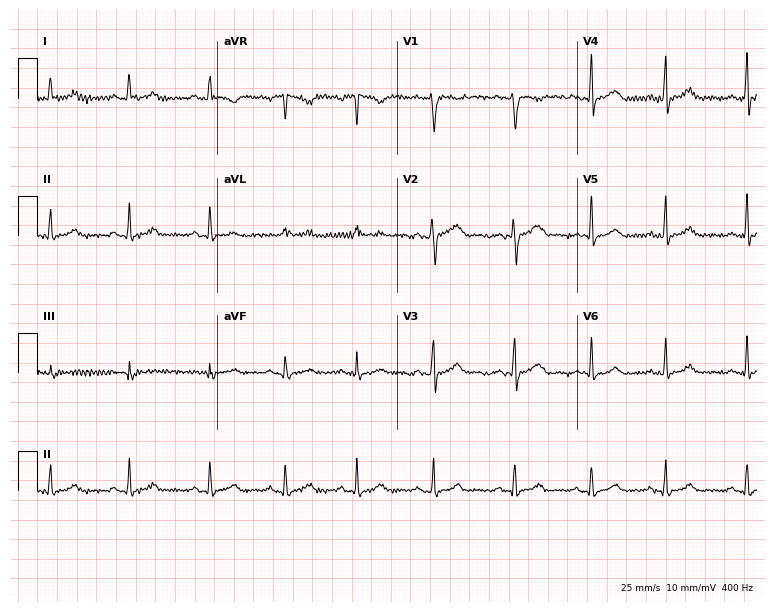
ECG (7.3-second recording at 400 Hz) — a female patient, 29 years old. Screened for six findings — first-degree AV block, right bundle branch block (RBBB), left bundle branch block (LBBB), sinus bradycardia, atrial fibrillation (AF), sinus tachycardia — none is recorded. Other findings, if any, are not listed.